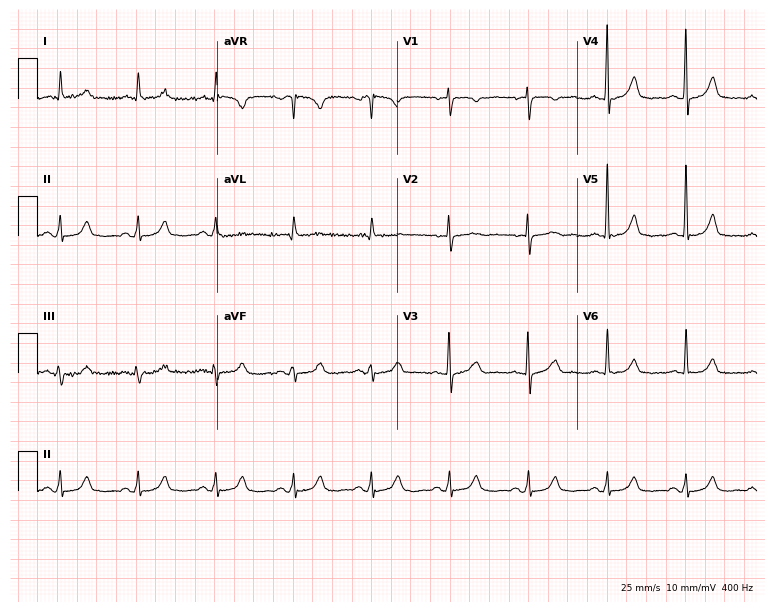
Standard 12-lead ECG recorded from a female patient, 85 years old (7.3-second recording at 400 Hz). None of these six findings is recorded: first-degree AV block, right bundle branch block, left bundle branch block, sinus bradycardia, atrial fibrillation, sinus tachycardia. Other findings, if any, are not listed.